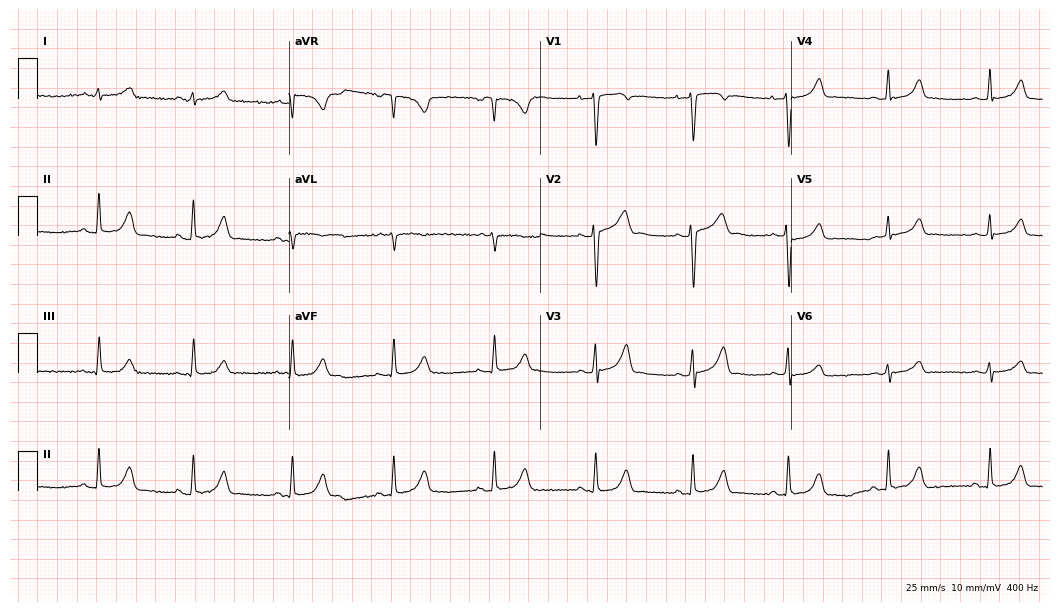
Electrocardiogram, a 39-year-old female patient. Overall reading on record: normal ECG.